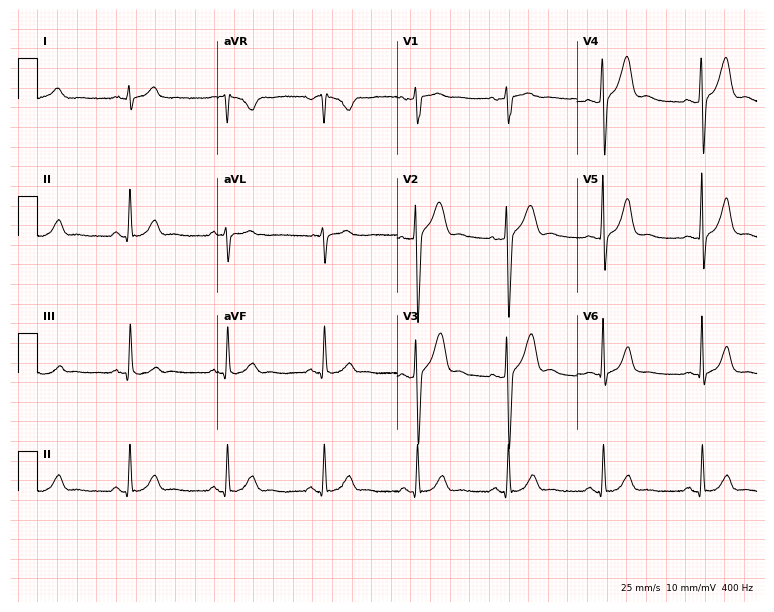
12-lead ECG from a 42-year-old man (7.3-second recording at 400 Hz). Recorded interpretation: within normal limits.